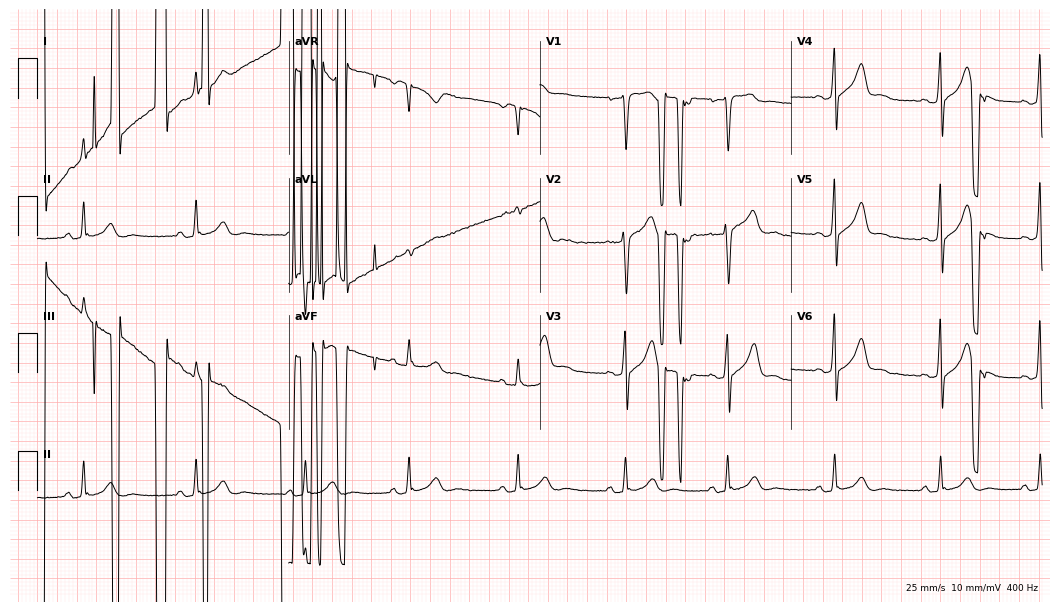
12-lead ECG from a 24-year-old man. Screened for six findings — first-degree AV block, right bundle branch block, left bundle branch block, sinus bradycardia, atrial fibrillation, sinus tachycardia — none is recorded. Other findings, if any, are not listed.